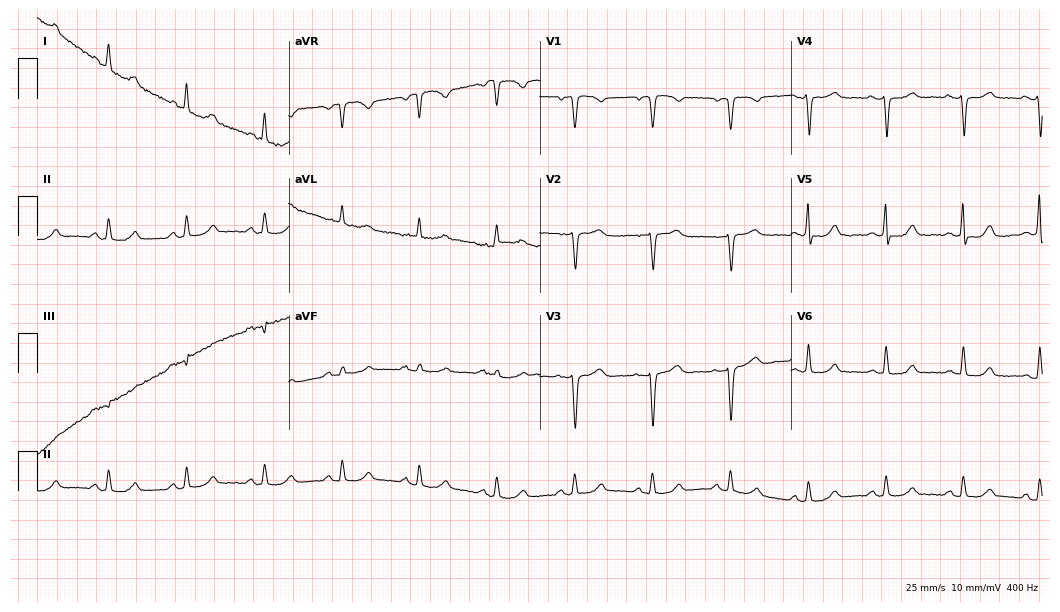
Resting 12-lead electrocardiogram. Patient: a female, 76 years old. Read as a normal ECG.